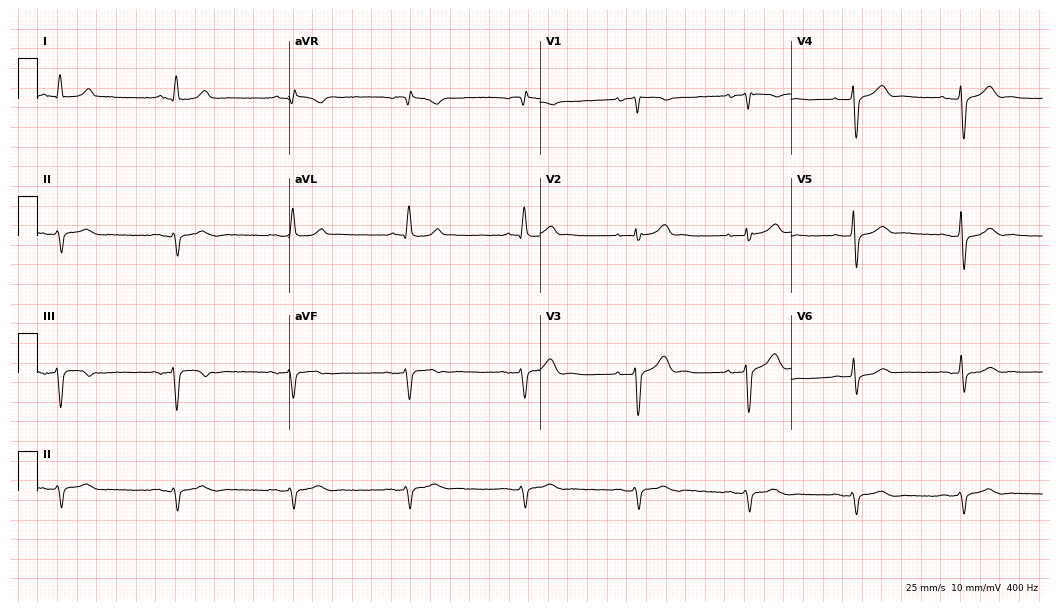
12-lead ECG from a 68-year-old male (10.2-second recording at 400 Hz). No first-degree AV block, right bundle branch block (RBBB), left bundle branch block (LBBB), sinus bradycardia, atrial fibrillation (AF) or sinus tachycardia recorded for this tracing.